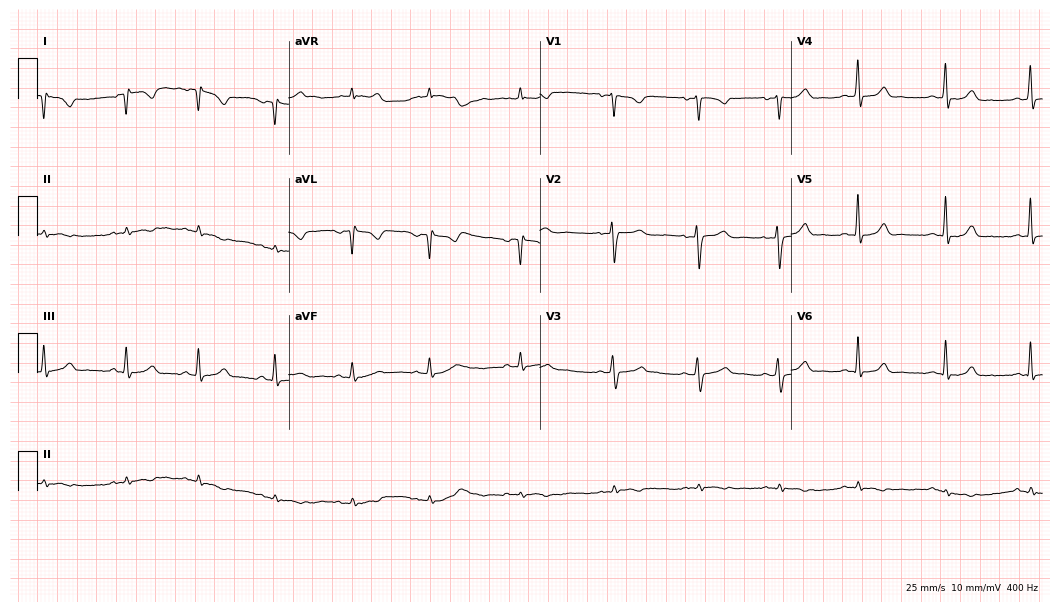
Resting 12-lead electrocardiogram (10.2-second recording at 400 Hz). Patient: a female, 22 years old. None of these six findings is recorded: first-degree AV block, right bundle branch block, left bundle branch block, sinus bradycardia, atrial fibrillation, sinus tachycardia.